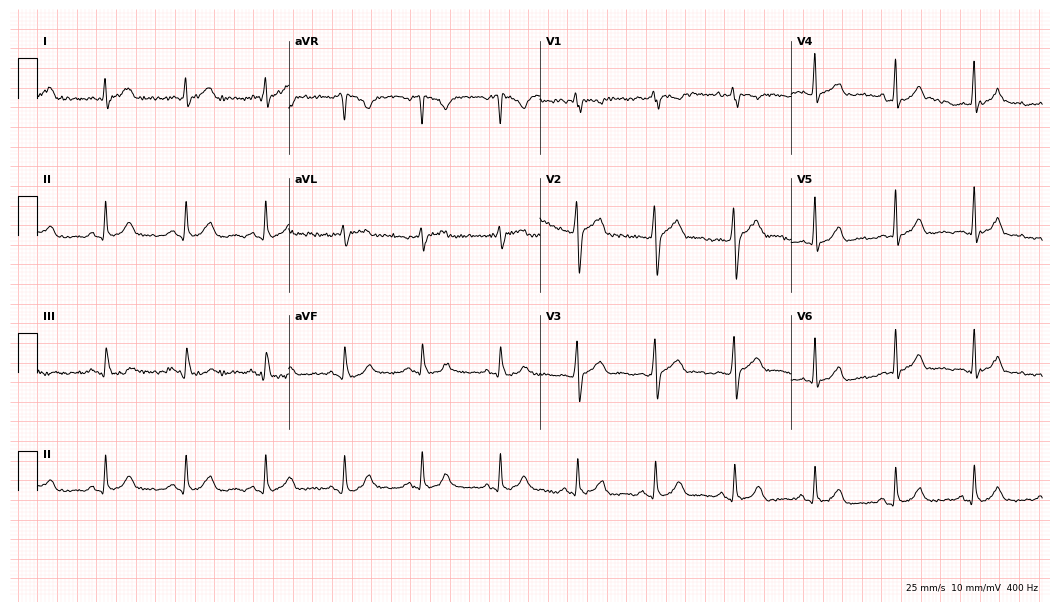
Electrocardiogram (10.2-second recording at 400 Hz), a 42-year-old male patient. Overall reading on record: normal ECG.